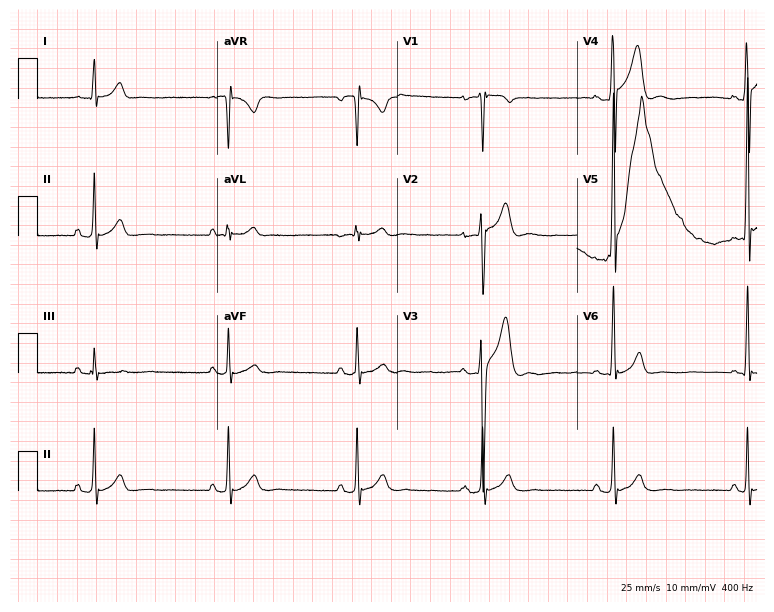
12-lead ECG from a 27-year-old male. Findings include sinus bradycardia (a sinus rate of 50 beats per minute or less).